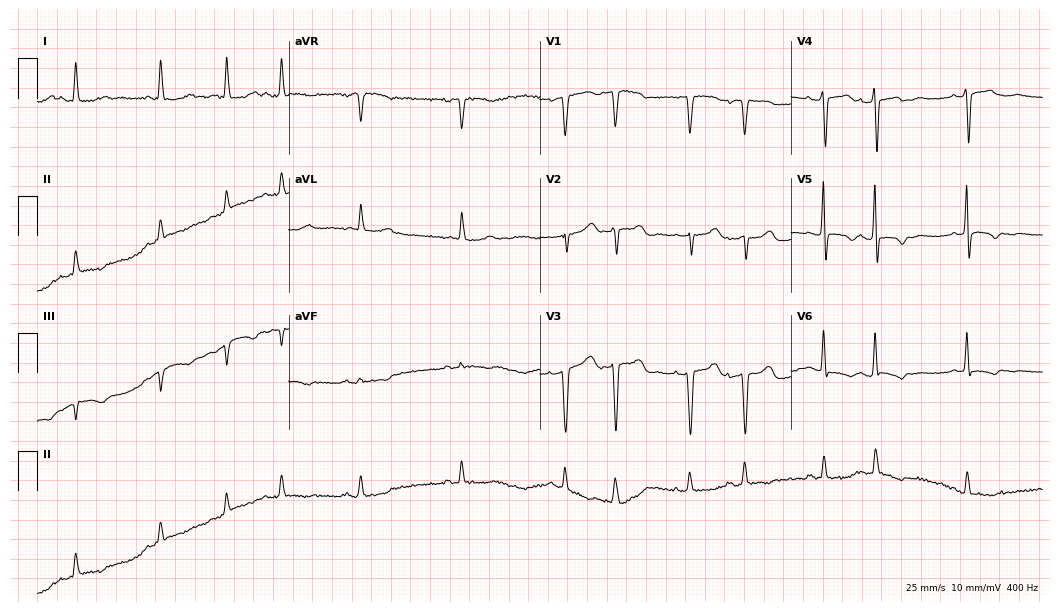
12-lead ECG from a 77-year-old woman. No first-degree AV block, right bundle branch block, left bundle branch block, sinus bradycardia, atrial fibrillation or sinus tachycardia recorded for this tracing.